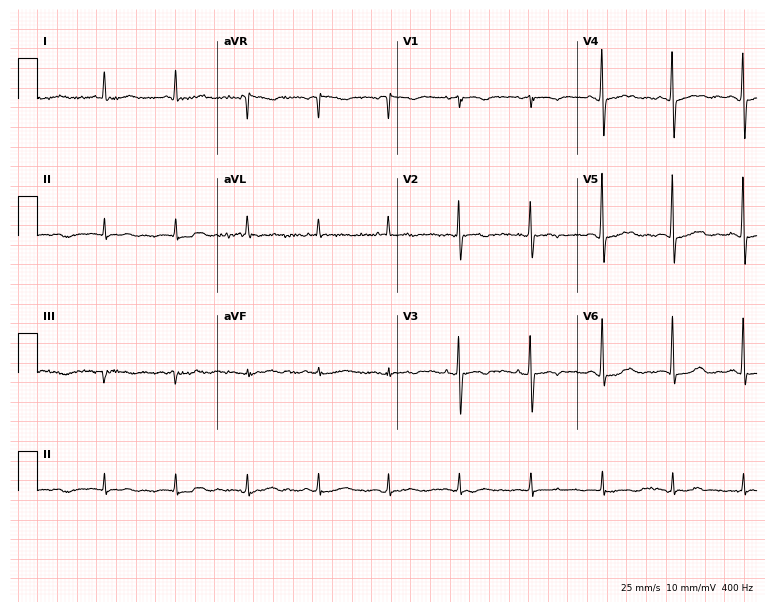
ECG — a female, 83 years old. Screened for six findings — first-degree AV block, right bundle branch block, left bundle branch block, sinus bradycardia, atrial fibrillation, sinus tachycardia — none is recorded.